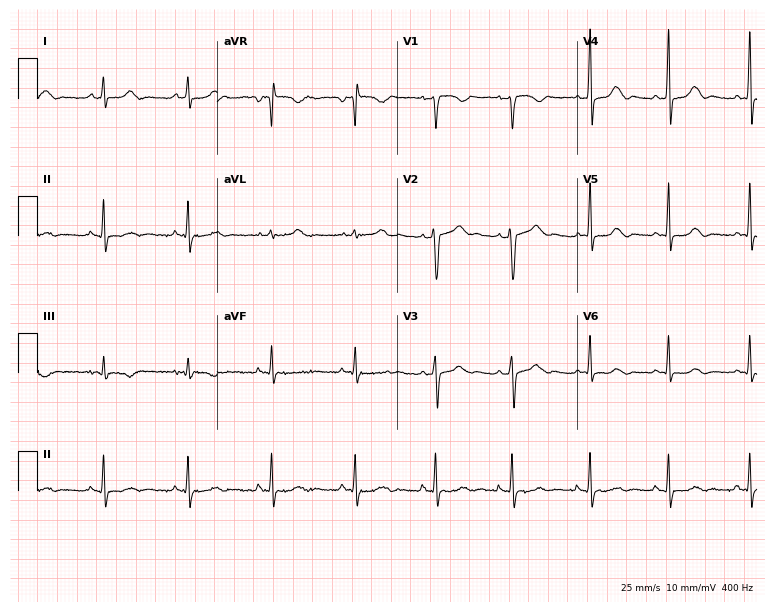
Standard 12-lead ECG recorded from a 40-year-old female patient. None of these six findings is recorded: first-degree AV block, right bundle branch block (RBBB), left bundle branch block (LBBB), sinus bradycardia, atrial fibrillation (AF), sinus tachycardia.